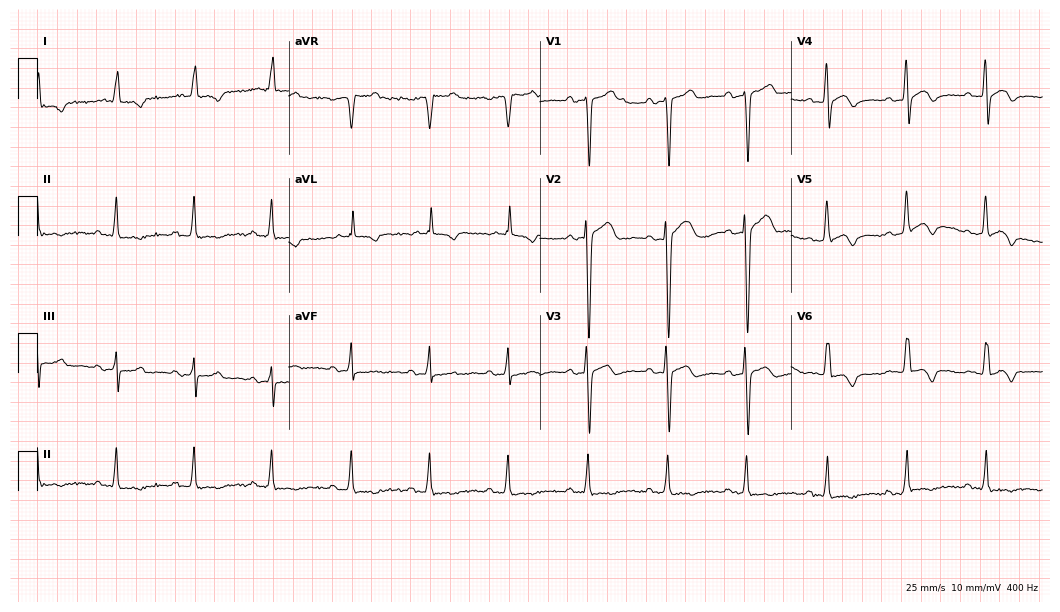
Electrocardiogram (10.2-second recording at 400 Hz), a 73-year-old man. Of the six screened findings (first-degree AV block, right bundle branch block (RBBB), left bundle branch block (LBBB), sinus bradycardia, atrial fibrillation (AF), sinus tachycardia), none is recorded.